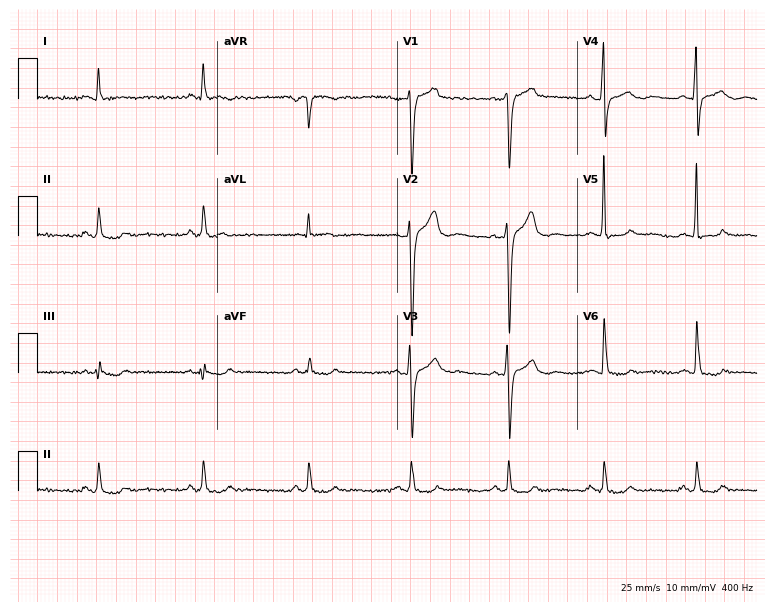
ECG (7.3-second recording at 400 Hz) — a 53-year-old male. Screened for six findings — first-degree AV block, right bundle branch block, left bundle branch block, sinus bradycardia, atrial fibrillation, sinus tachycardia — none is recorded. Other findings, if any, are not listed.